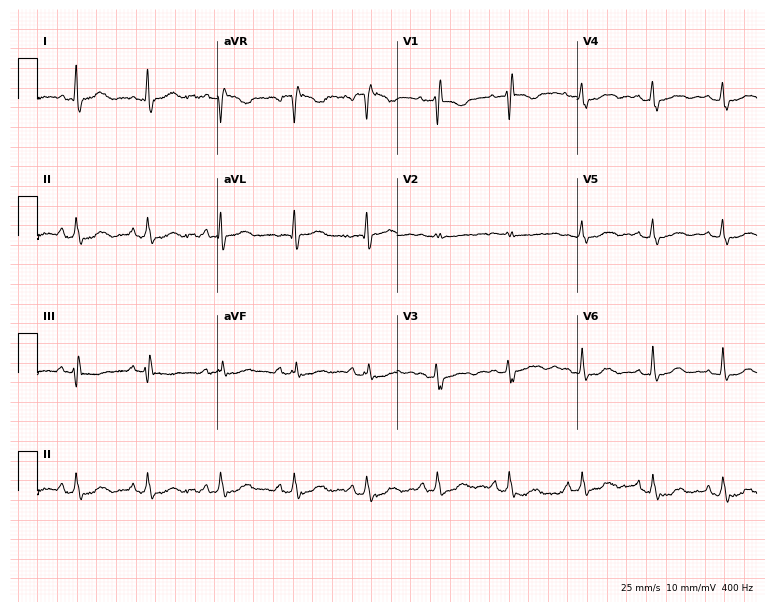
12-lead ECG from a female, 79 years old. Screened for six findings — first-degree AV block, right bundle branch block, left bundle branch block, sinus bradycardia, atrial fibrillation, sinus tachycardia — none is recorded.